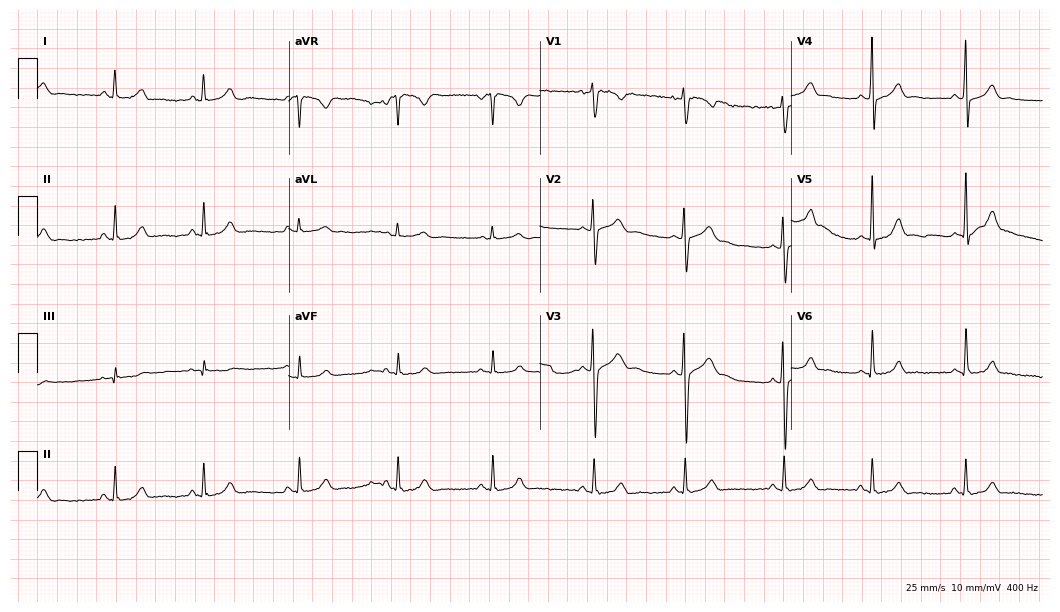
Electrocardiogram (10.2-second recording at 400 Hz), a 17-year-old female. Overall reading on record: normal ECG.